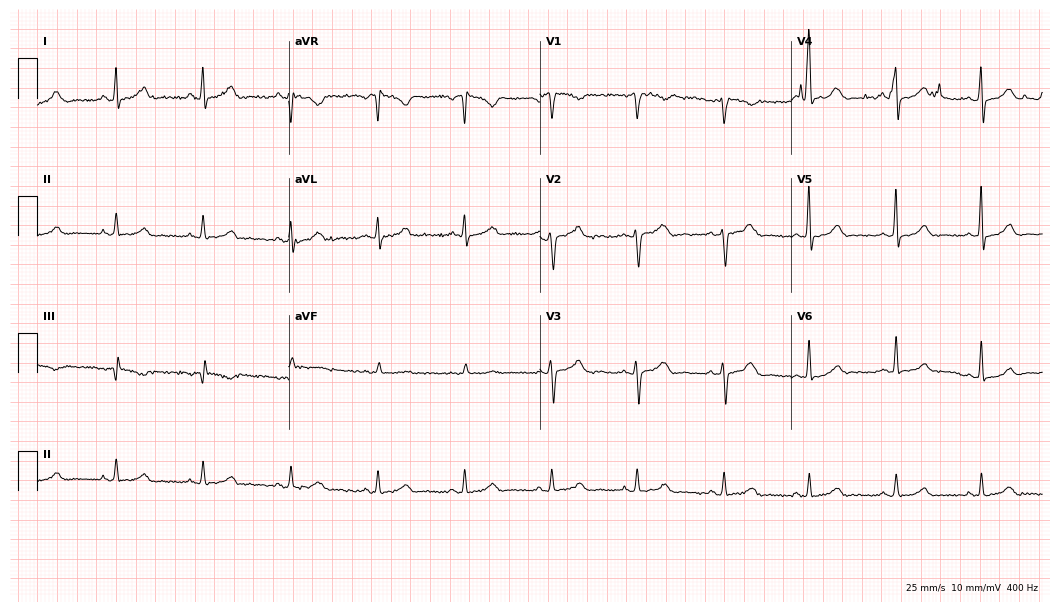
Electrocardiogram (10.2-second recording at 400 Hz), a 51-year-old woman. Of the six screened findings (first-degree AV block, right bundle branch block (RBBB), left bundle branch block (LBBB), sinus bradycardia, atrial fibrillation (AF), sinus tachycardia), none is recorded.